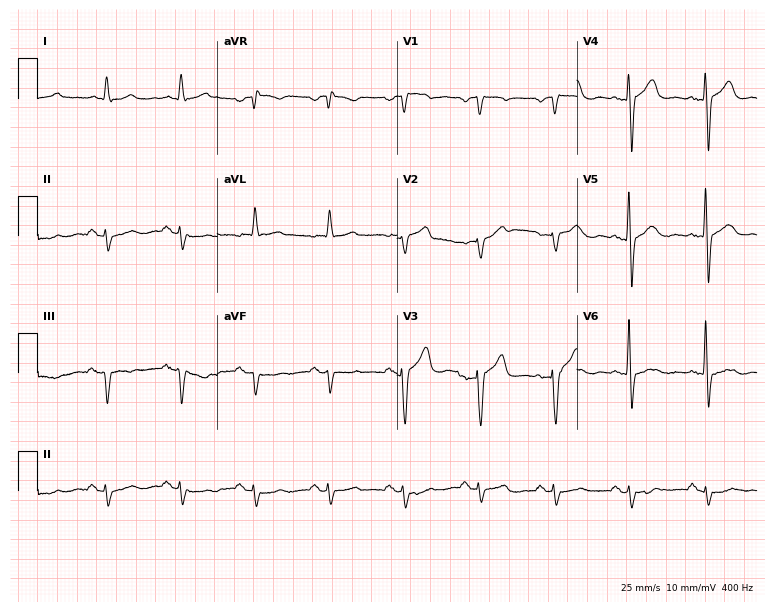
ECG (7.3-second recording at 400 Hz) — a 65-year-old man. Labelled as a normal ECG.